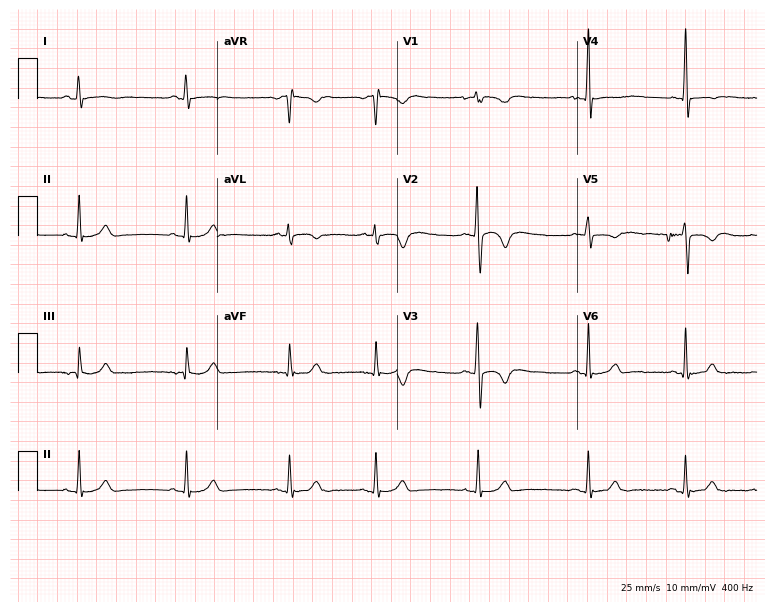
12-lead ECG from a woman, 24 years old. Screened for six findings — first-degree AV block, right bundle branch block, left bundle branch block, sinus bradycardia, atrial fibrillation, sinus tachycardia — none is recorded.